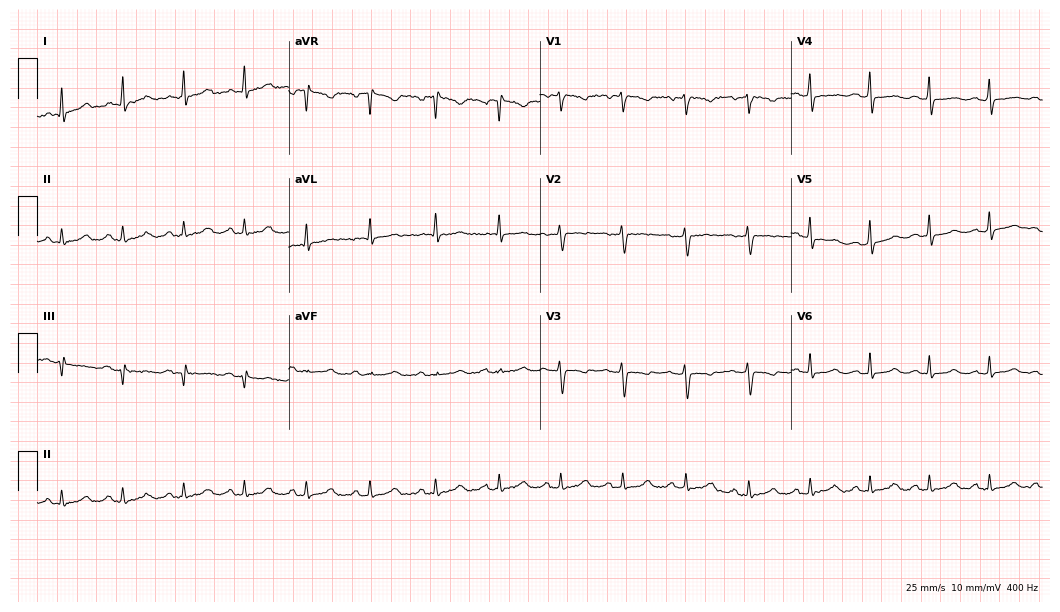
12-lead ECG from a 38-year-old woman (10.2-second recording at 400 Hz). No first-degree AV block, right bundle branch block, left bundle branch block, sinus bradycardia, atrial fibrillation or sinus tachycardia recorded for this tracing. Other findings, if any, are not listed.